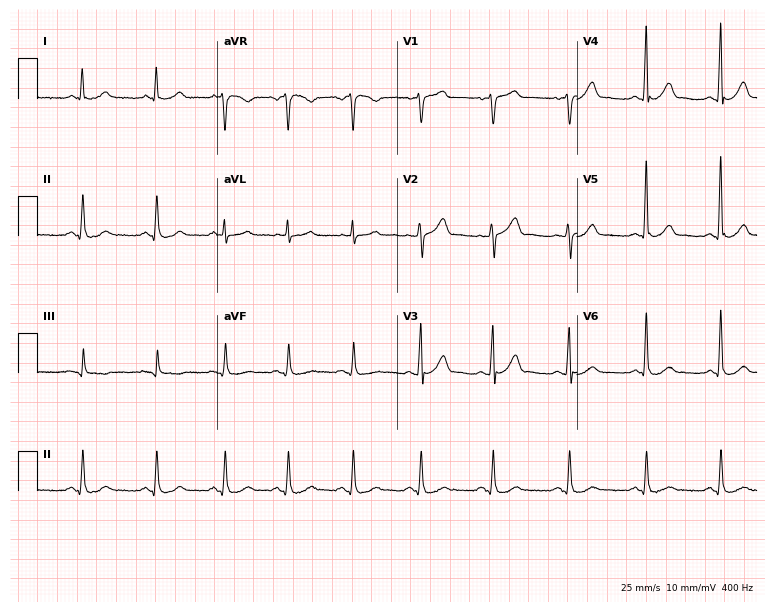
Resting 12-lead electrocardiogram (7.3-second recording at 400 Hz). Patient: a 64-year-old man. Read as a normal ECG.